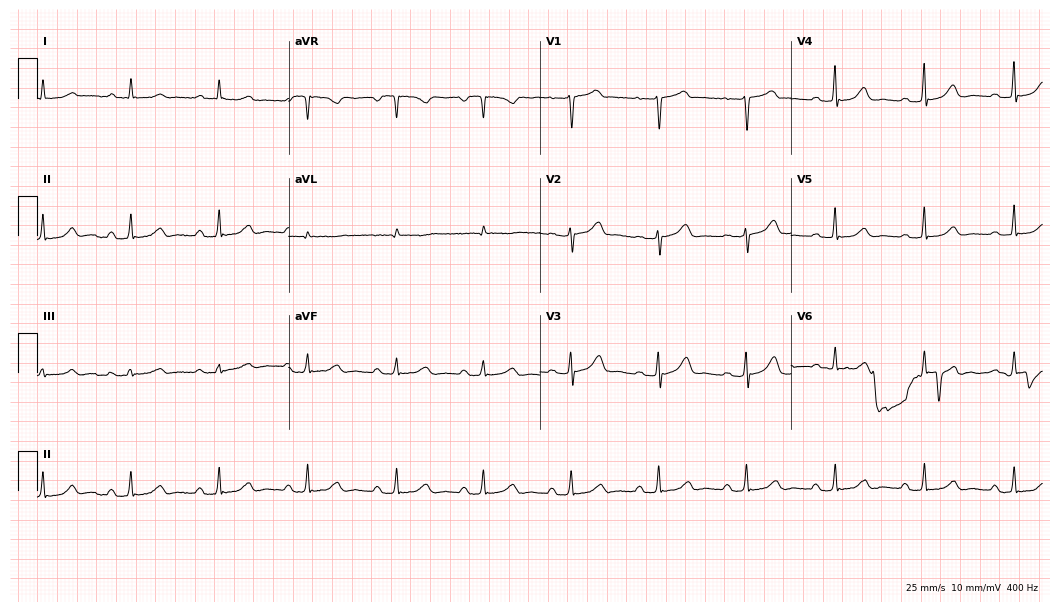
12-lead ECG from a woman, 80 years old (10.2-second recording at 400 Hz). Shows first-degree AV block.